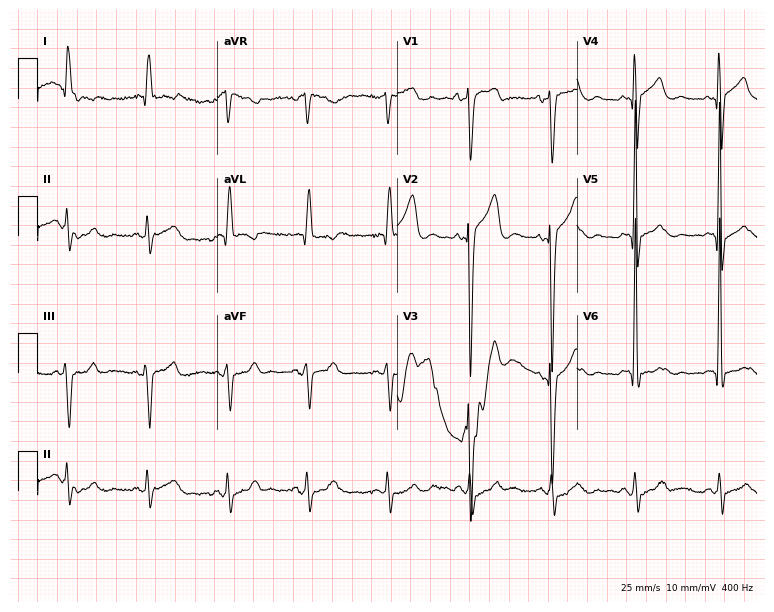
12-lead ECG from a male patient, 64 years old. No first-degree AV block, right bundle branch block (RBBB), left bundle branch block (LBBB), sinus bradycardia, atrial fibrillation (AF) or sinus tachycardia recorded for this tracing.